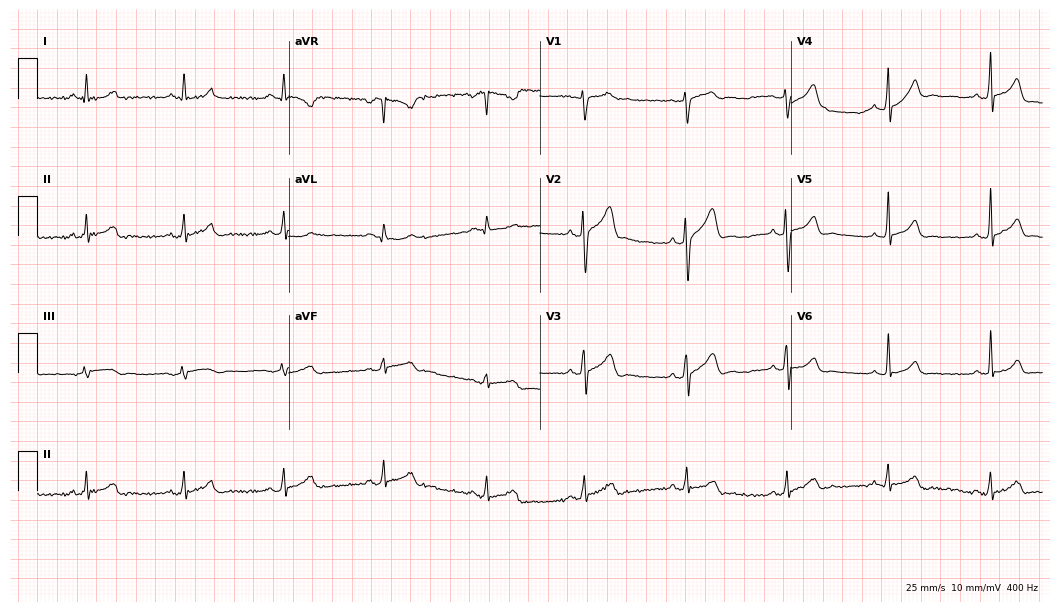
Standard 12-lead ECG recorded from a 29-year-old male. Read as a normal ECG.